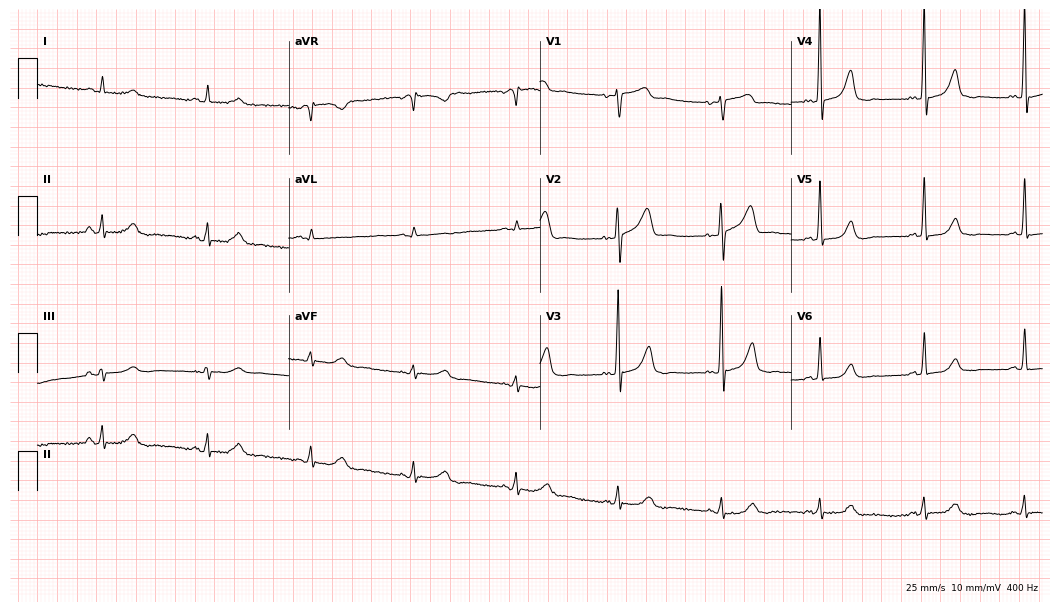
Electrocardiogram (10.2-second recording at 400 Hz), a male, 59 years old. Of the six screened findings (first-degree AV block, right bundle branch block, left bundle branch block, sinus bradycardia, atrial fibrillation, sinus tachycardia), none is recorded. Findings outside these six are not listed.